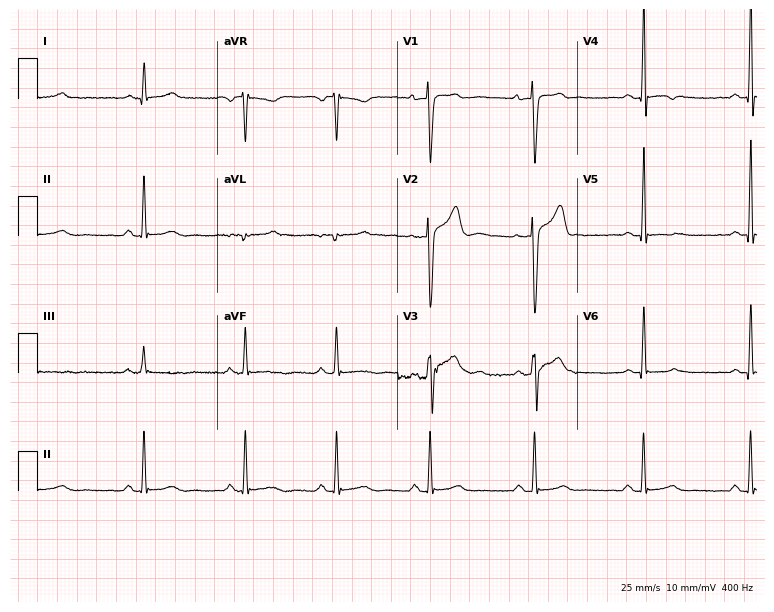
12-lead ECG from a 31-year-old male patient. No first-degree AV block, right bundle branch block, left bundle branch block, sinus bradycardia, atrial fibrillation or sinus tachycardia recorded for this tracing. Other findings, if any, are not listed.